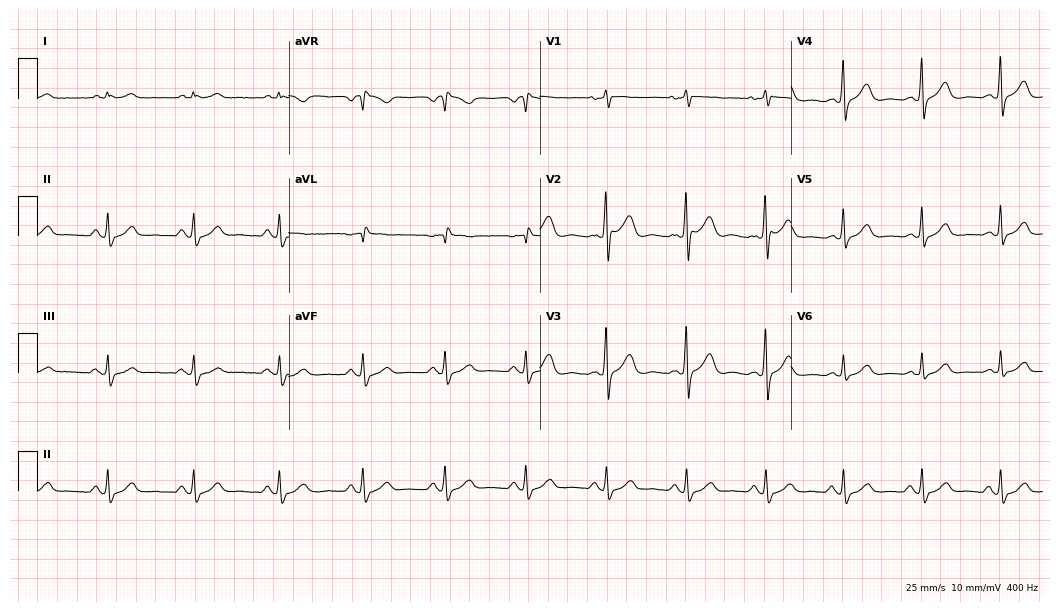
Standard 12-lead ECG recorded from a 49-year-old male patient. None of these six findings is recorded: first-degree AV block, right bundle branch block, left bundle branch block, sinus bradycardia, atrial fibrillation, sinus tachycardia.